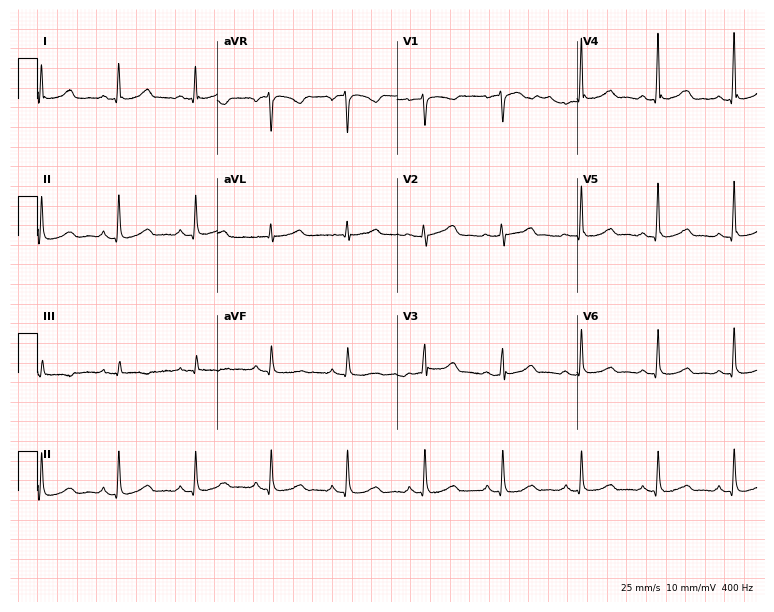
Resting 12-lead electrocardiogram. Patient: a 60-year-old female. Read as a normal ECG.